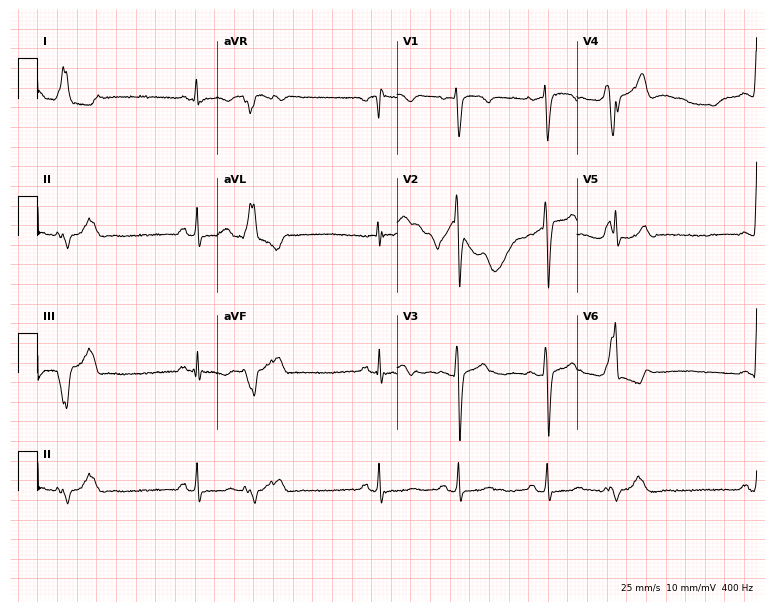
12-lead ECG from a 39-year-old female patient (7.3-second recording at 400 Hz). No first-degree AV block, right bundle branch block (RBBB), left bundle branch block (LBBB), sinus bradycardia, atrial fibrillation (AF) or sinus tachycardia recorded for this tracing. Only these six findings were labelled.